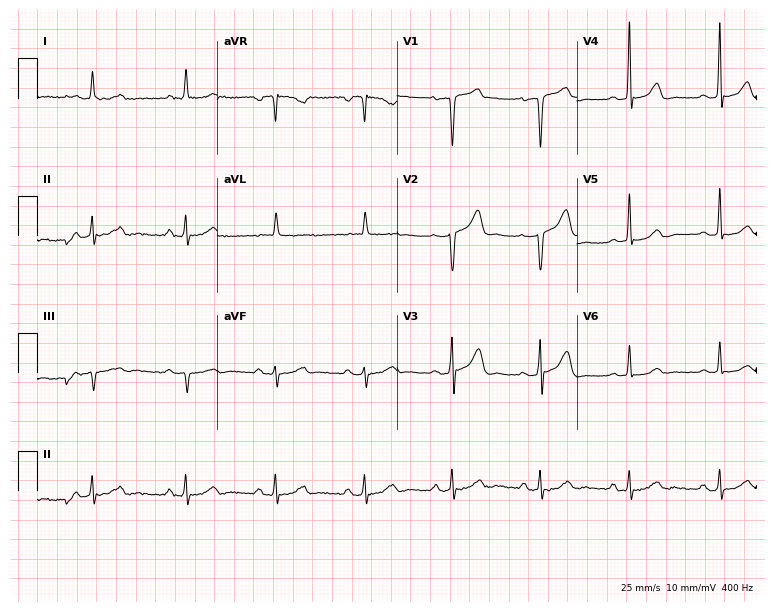
12-lead ECG from a 65-year-old male. No first-degree AV block, right bundle branch block, left bundle branch block, sinus bradycardia, atrial fibrillation or sinus tachycardia recorded for this tracing.